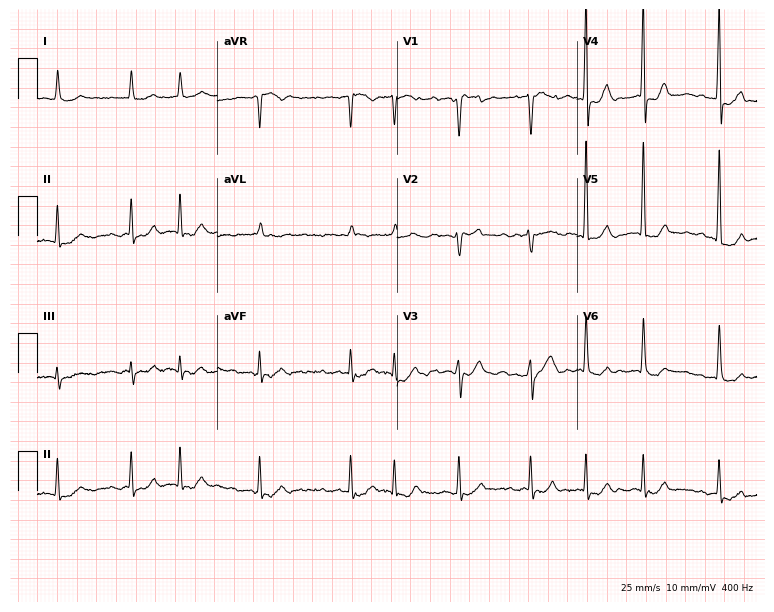
Resting 12-lead electrocardiogram. Patient: a 54-year-old female. The tracing shows atrial fibrillation (AF).